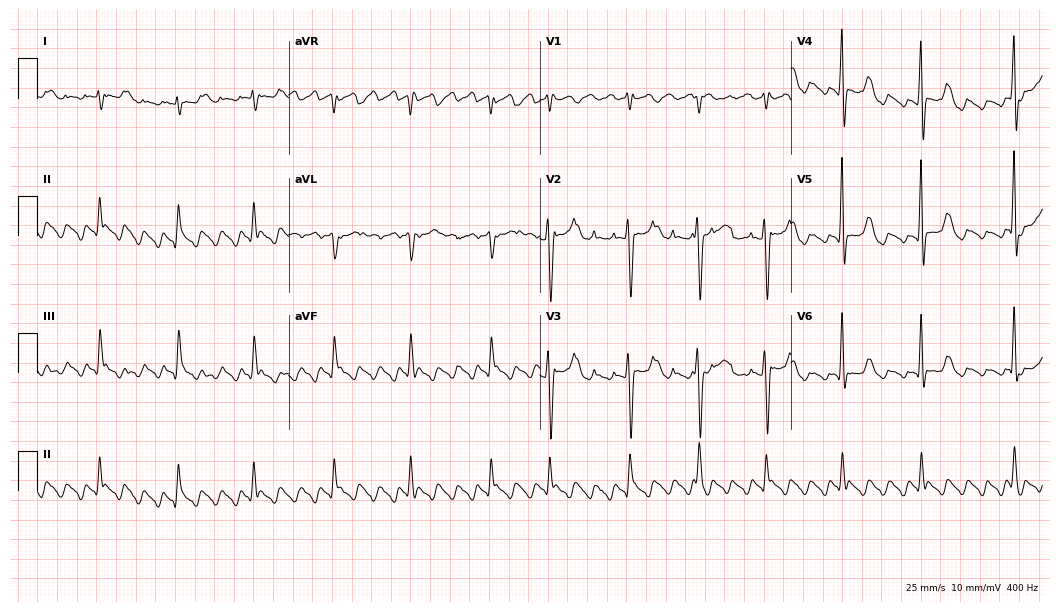
Standard 12-lead ECG recorded from a 54-year-old male. None of these six findings is recorded: first-degree AV block, right bundle branch block, left bundle branch block, sinus bradycardia, atrial fibrillation, sinus tachycardia.